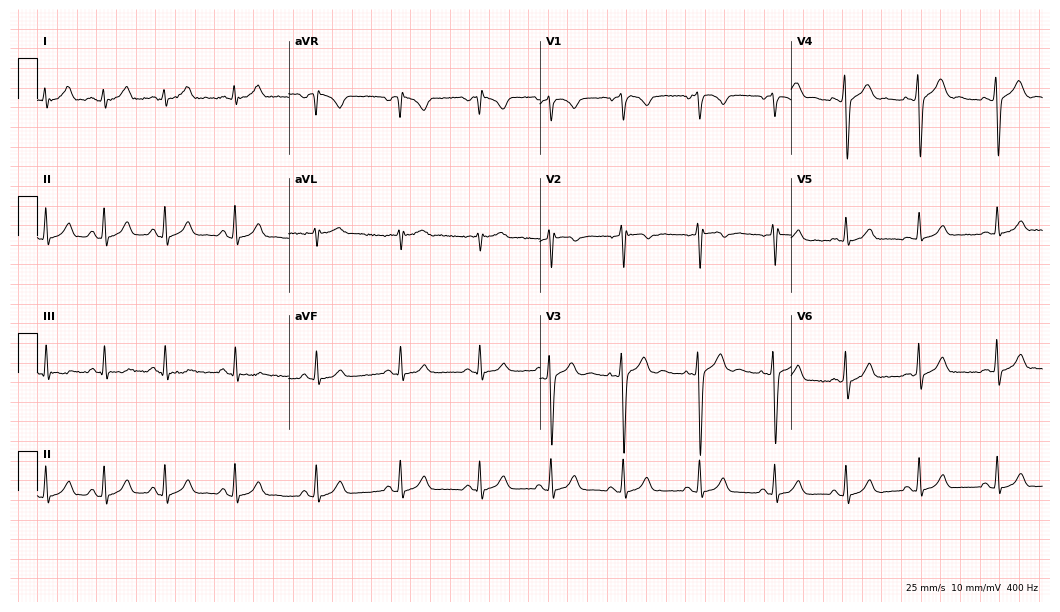
Standard 12-lead ECG recorded from a 19-year-old man. Read as a normal ECG.